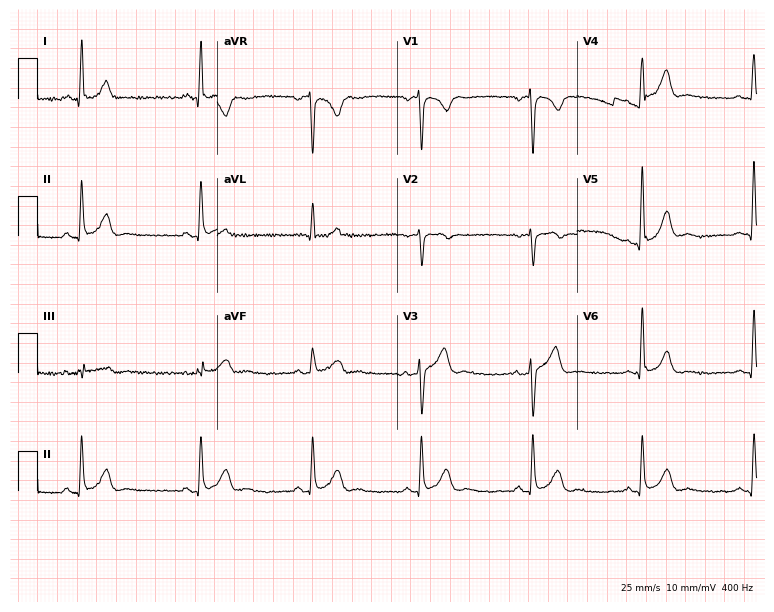
Resting 12-lead electrocardiogram. Patient: a 50-year-old man. None of these six findings is recorded: first-degree AV block, right bundle branch block, left bundle branch block, sinus bradycardia, atrial fibrillation, sinus tachycardia.